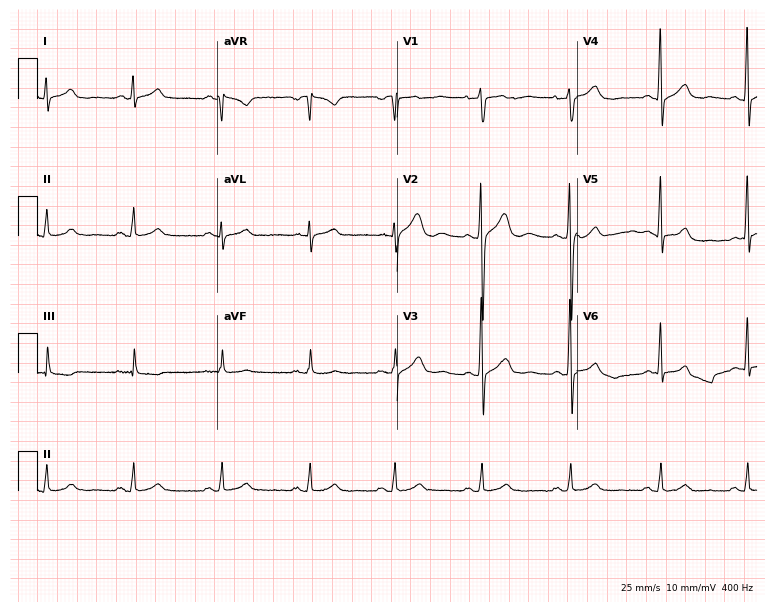
Resting 12-lead electrocardiogram. Patient: a 40-year-old male. Read as a normal ECG.